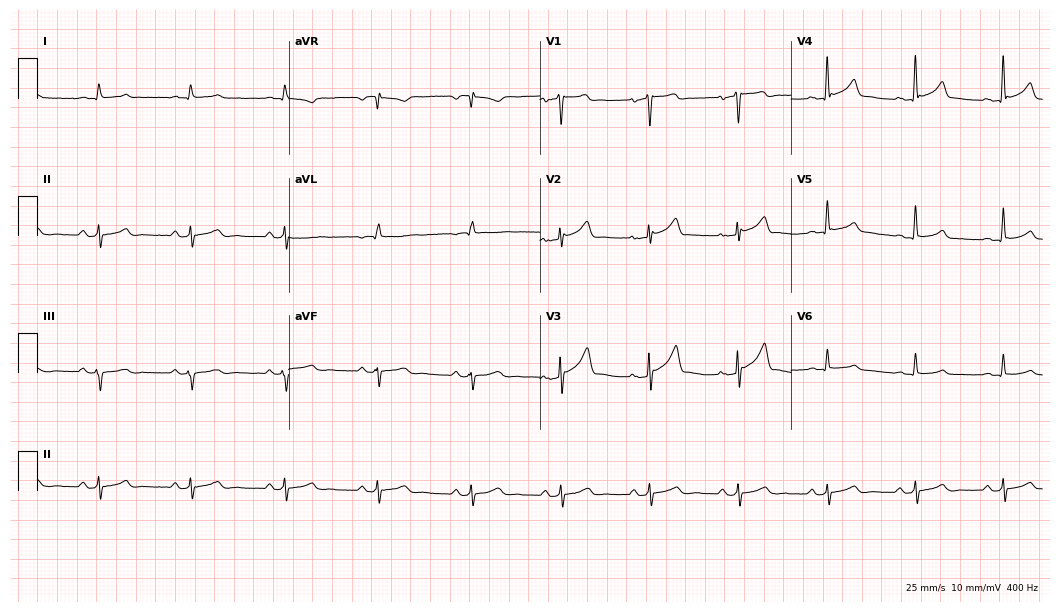
Standard 12-lead ECG recorded from a 69-year-old male (10.2-second recording at 400 Hz). Read as a normal ECG.